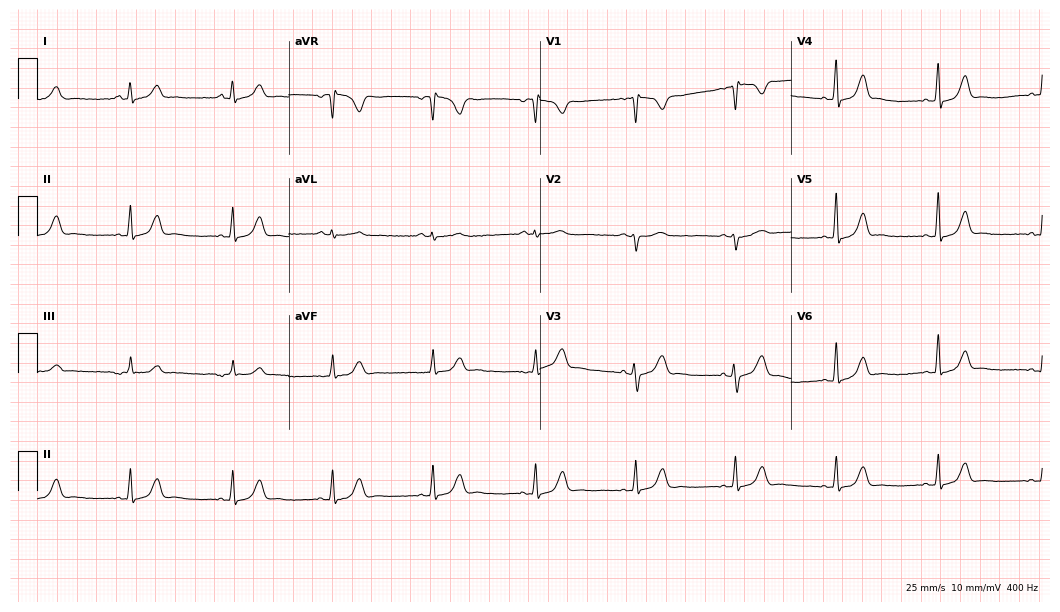
Resting 12-lead electrocardiogram (10.2-second recording at 400 Hz). Patient: a woman, 44 years old. Read as a normal ECG.